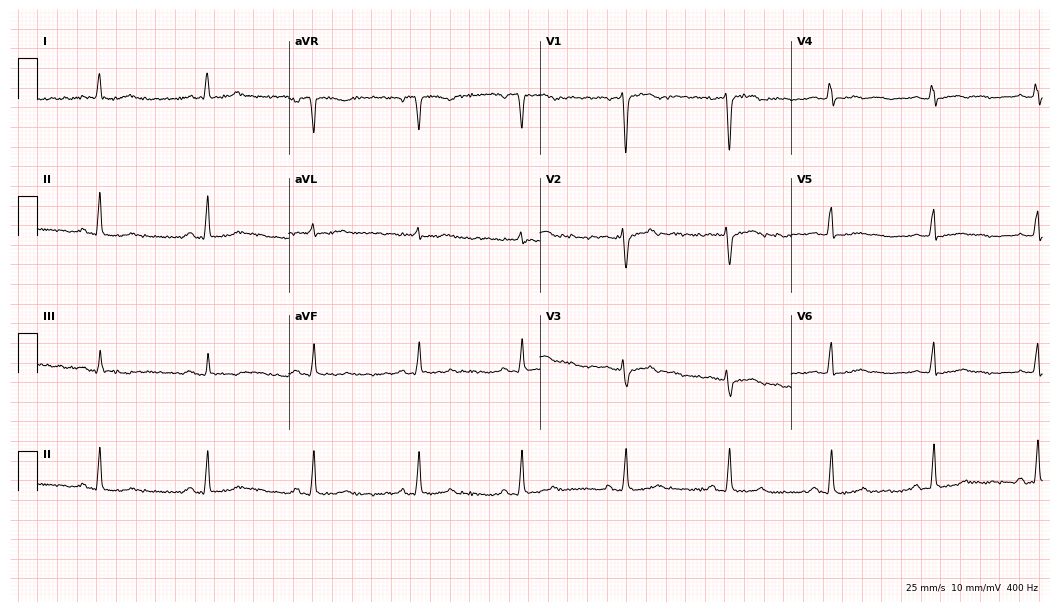
ECG — a female patient, 84 years old. Screened for six findings — first-degree AV block, right bundle branch block (RBBB), left bundle branch block (LBBB), sinus bradycardia, atrial fibrillation (AF), sinus tachycardia — none is recorded.